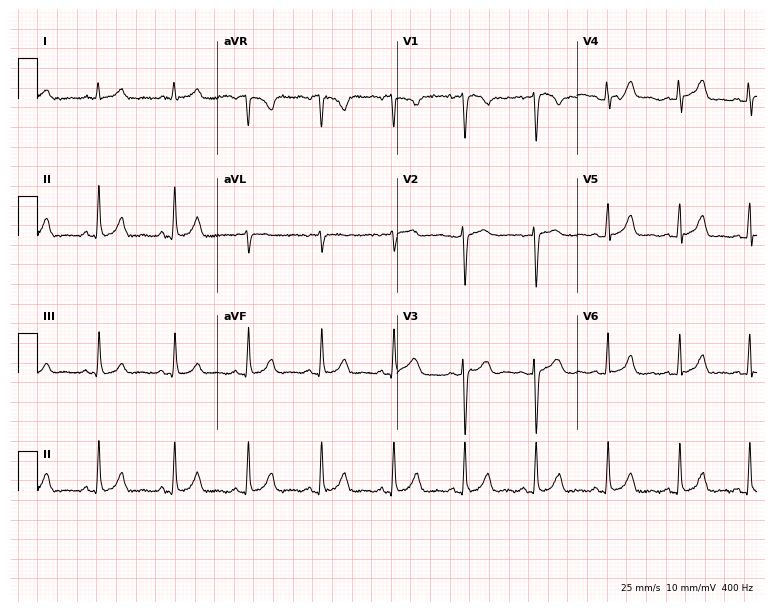
12-lead ECG from a male patient, 30 years old (7.3-second recording at 400 Hz). Recorded interpretation: within normal limits.